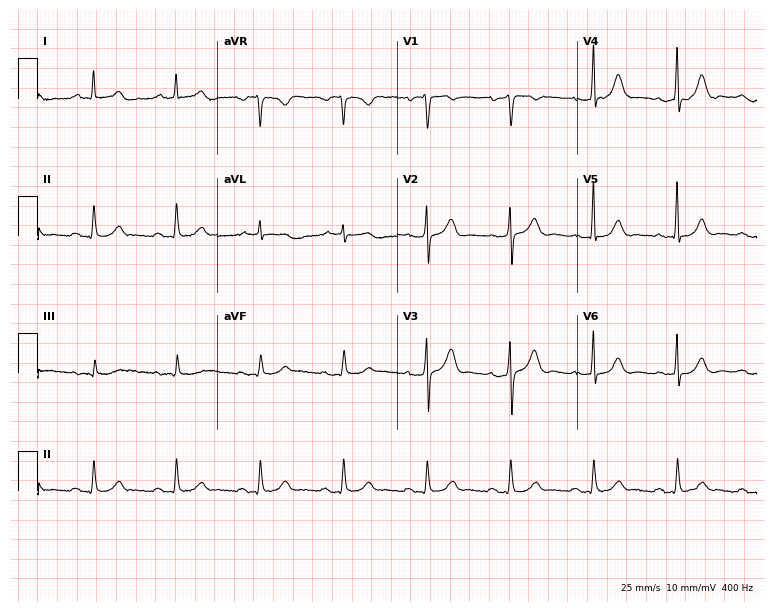
Electrocardiogram (7.3-second recording at 400 Hz), a male, 76 years old. Overall reading on record: normal ECG.